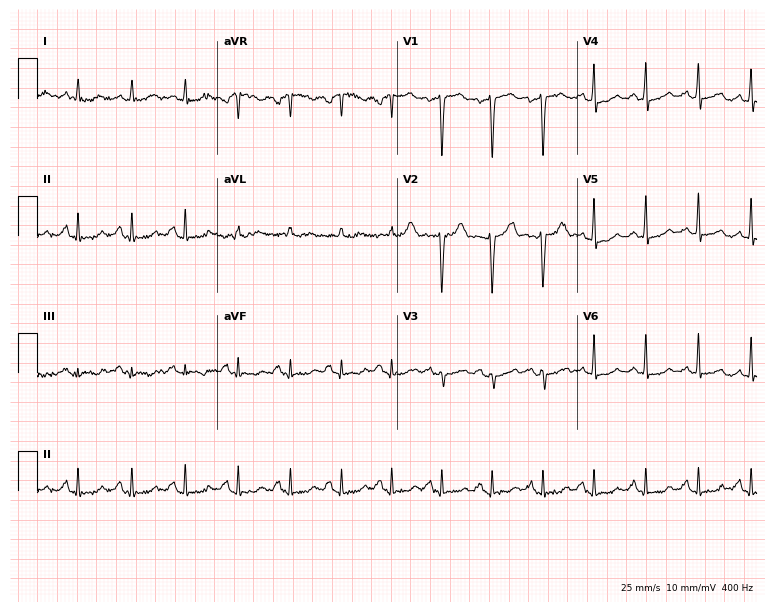
Standard 12-lead ECG recorded from a female, 43 years old. The tracing shows sinus tachycardia (a sinus rate of 100 beats per minute or more).